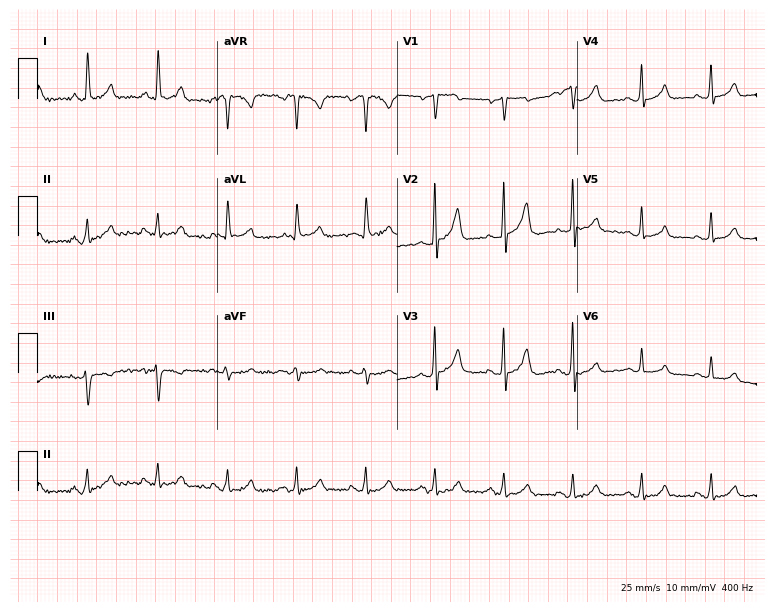
Standard 12-lead ECG recorded from a 57-year-old male (7.3-second recording at 400 Hz). None of these six findings is recorded: first-degree AV block, right bundle branch block (RBBB), left bundle branch block (LBBB), sinus bradycardia, atrial fibrillation (AF), sinus tachycardia.